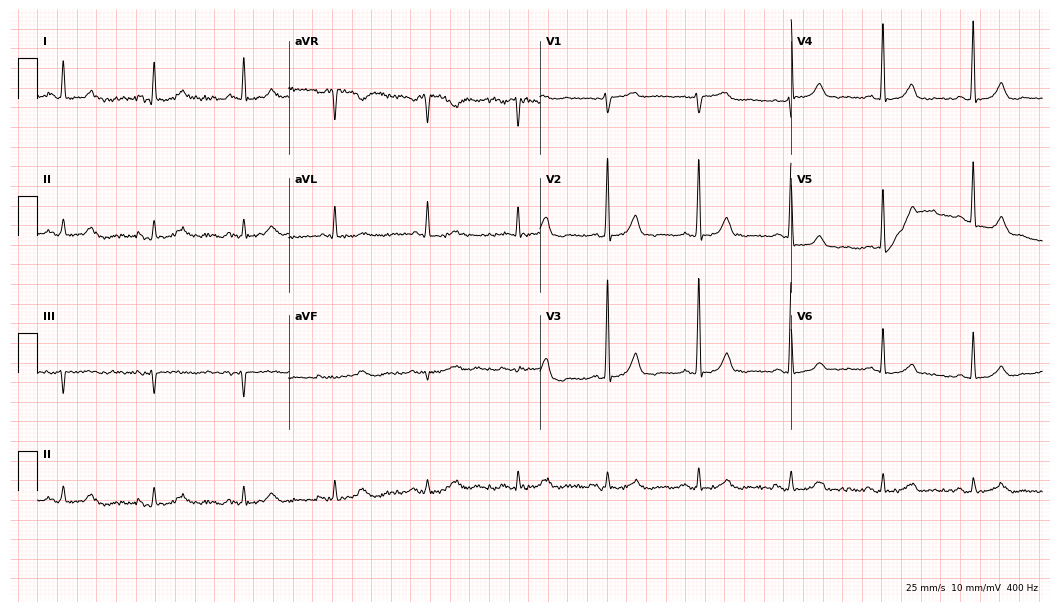
12-lead ECG from a female, 76 years old. Labelled as a normal ECG.